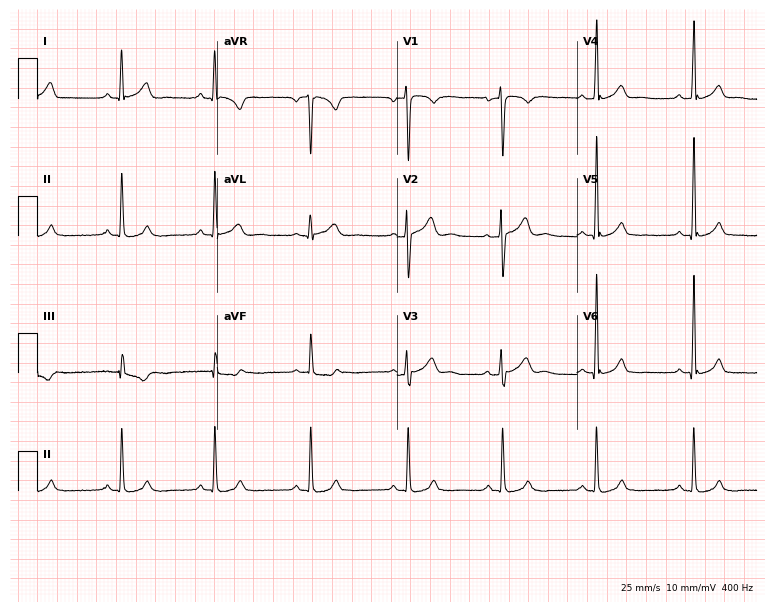
Electrocardiogram, a male, 32 years old. Of the six screened findings (first-degree AV block, right bundle branch block, left bundle branch block, sinus bradycardia, atrial fibrillation, sinus tachycardia), none is recorded. Only these six findings were labelled.